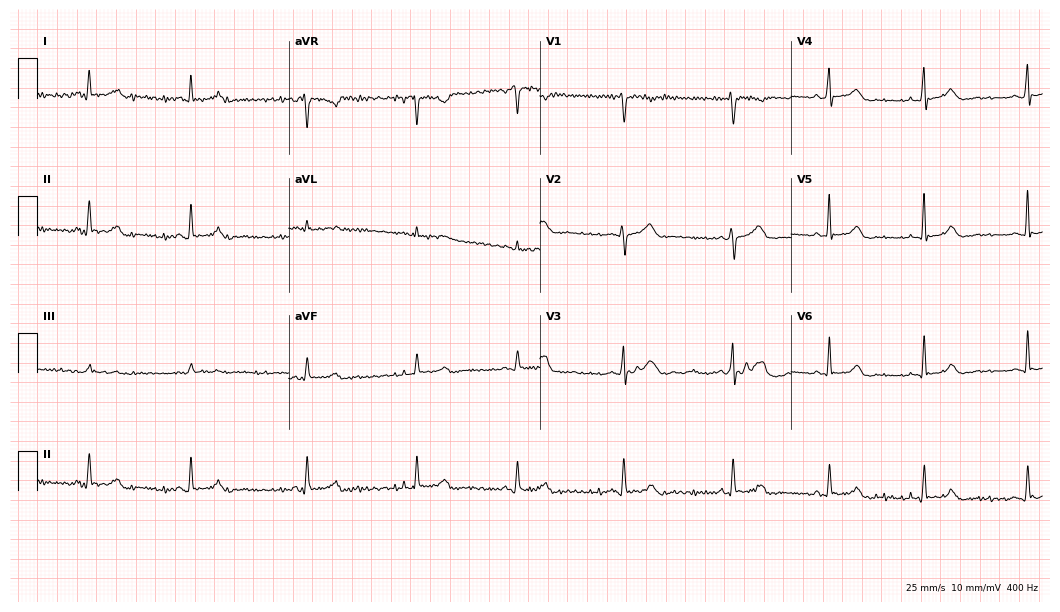
12-lead ECG (10.2-second recording at 400 Hz) from a woman, 49 years old. Screened for six findings — first-degree AV block, right bundle branch block, left bundle branch block, sinus bradycardia, atrial fibrillation, sinus tachycardia — none is recorded.